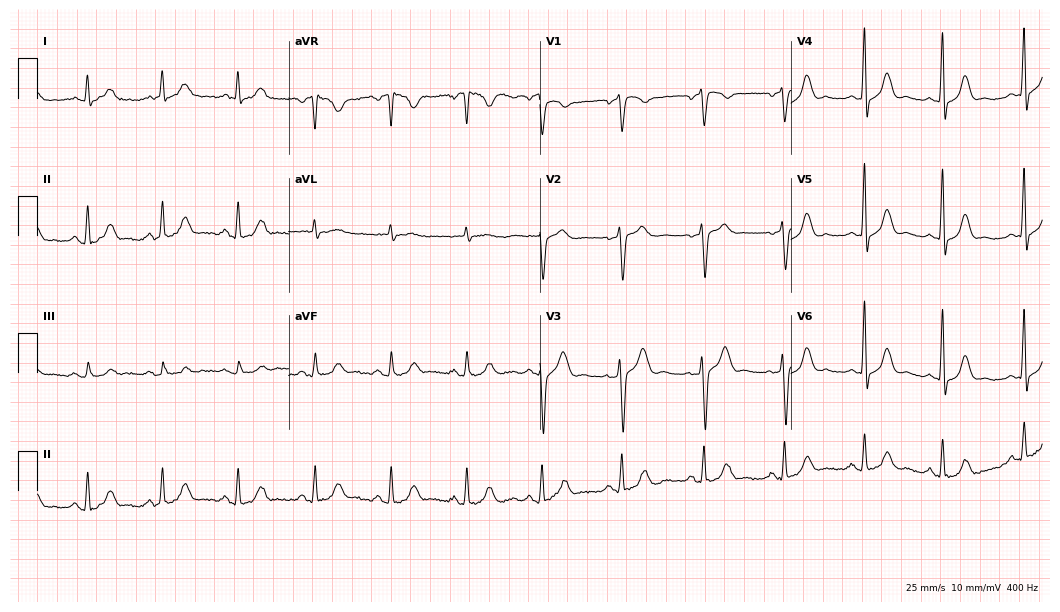
ECG — a man, 47 years old. Labelled as a normal ECG.